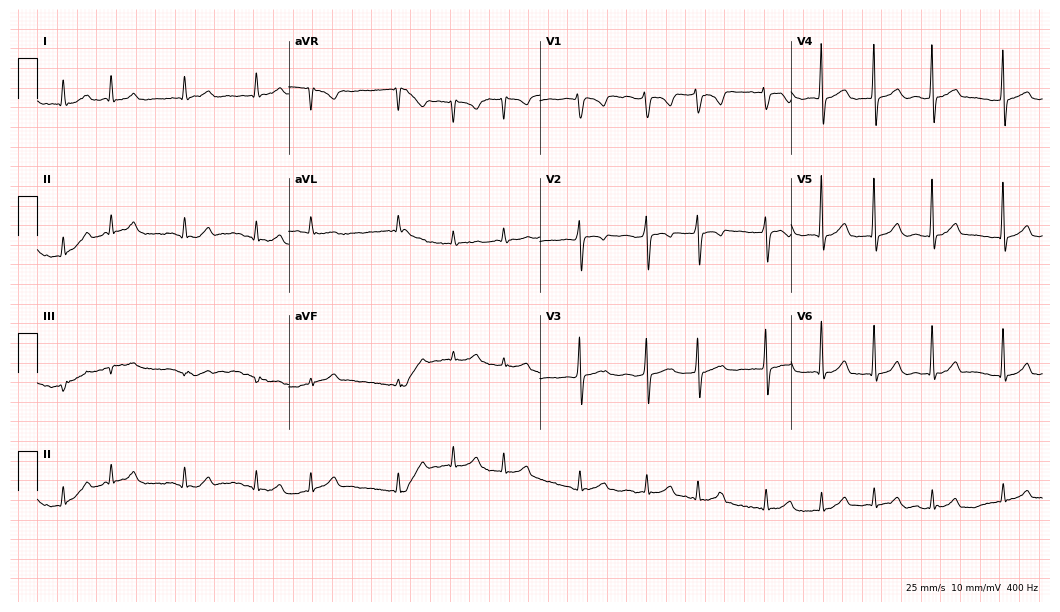
12-lead ECG from an 83-year-old female patient. Findings include atrial fibrillation.